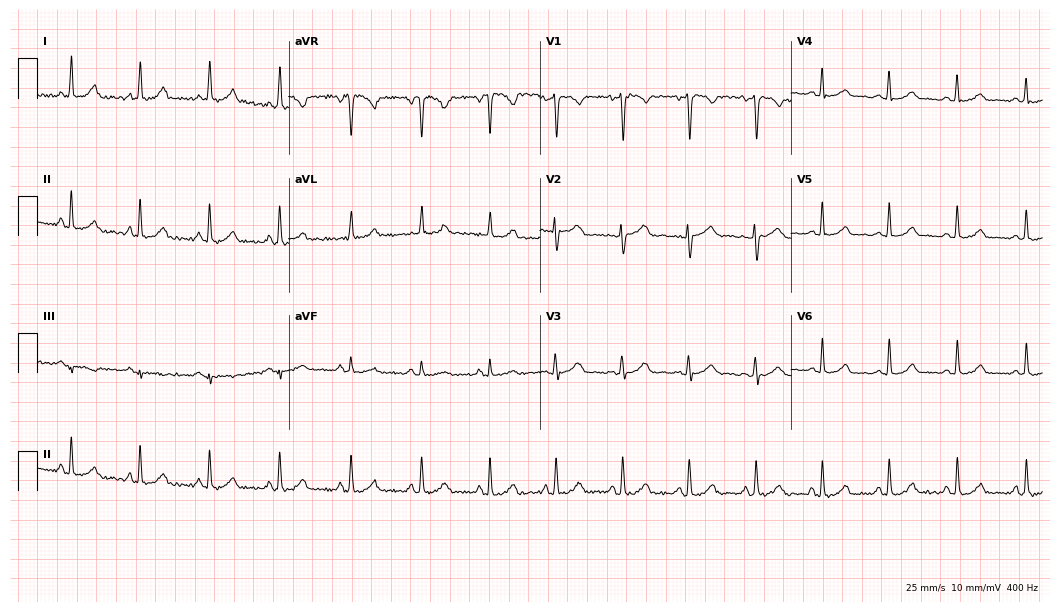
ECG (10.2-second recording at 400 Hz) — a 31-year-old female patient. Labelled as a normal ECG.